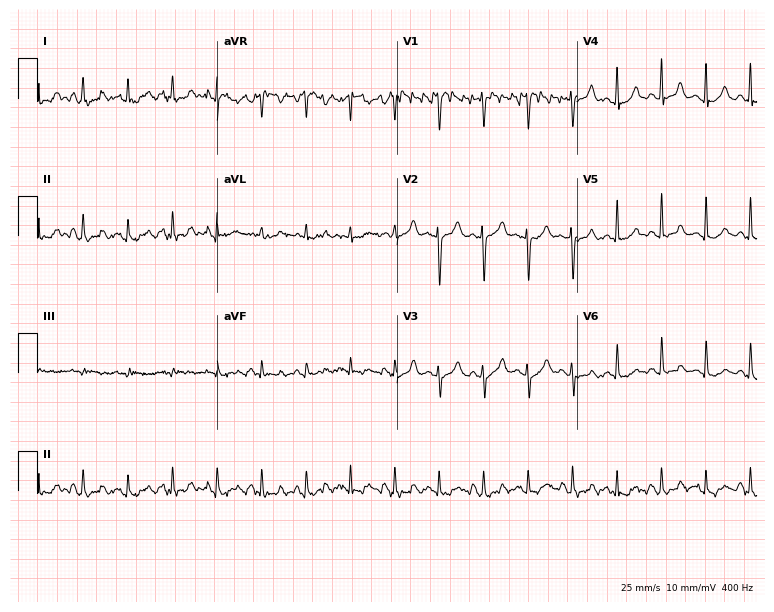
Resting 12-lead electrocardiogram (7.3-second recording at 400 Hz). Patient: a female, 41 years old. None of these six findings is recorded: first-degree AV block, right bundle branch block, left bundle branch block, sinus bradycardia, atrial fibrillation, sinus tachycardia. Only these six findings were labelled.